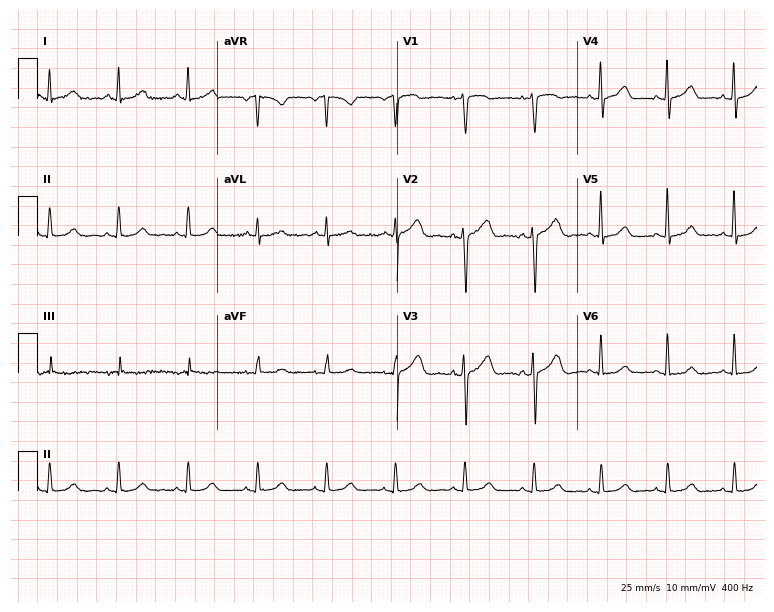
Resting 12-lead electrocardiogram. Patient: a 51-year-old female. Read as a normal ECG.